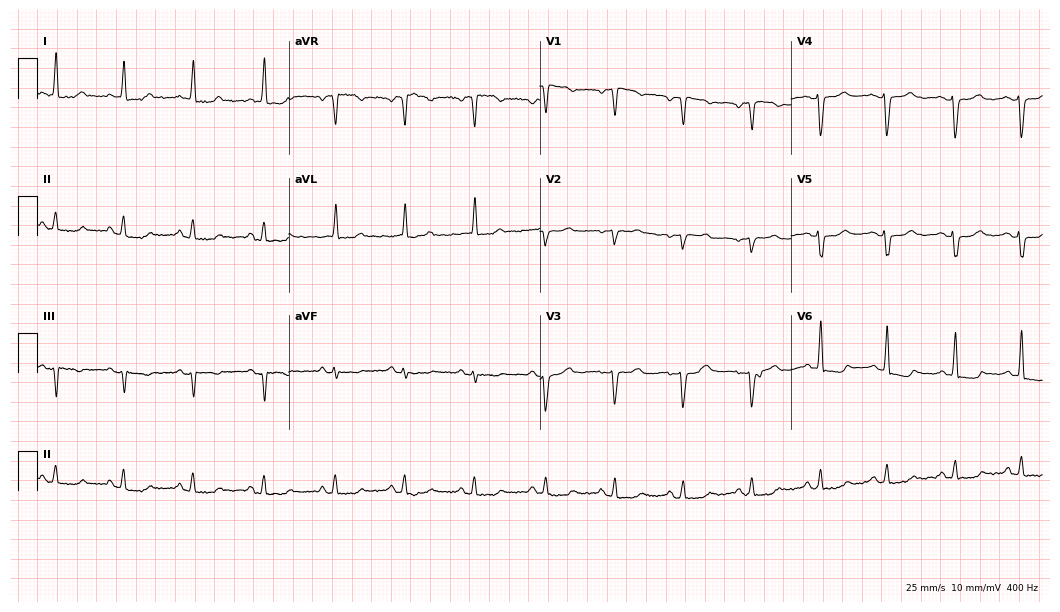
ECG (10.2-second recording at 400 Hz) — a female patient, 71 years old. Screened for six findings — first-degree AV block, right bundle branch block (RBBB), left bundle branch block (LBBB), sinus bradycardia, atrial fibrillation (AF), sinus tachycardia — none is recorded. Findings outside these six are not listed.